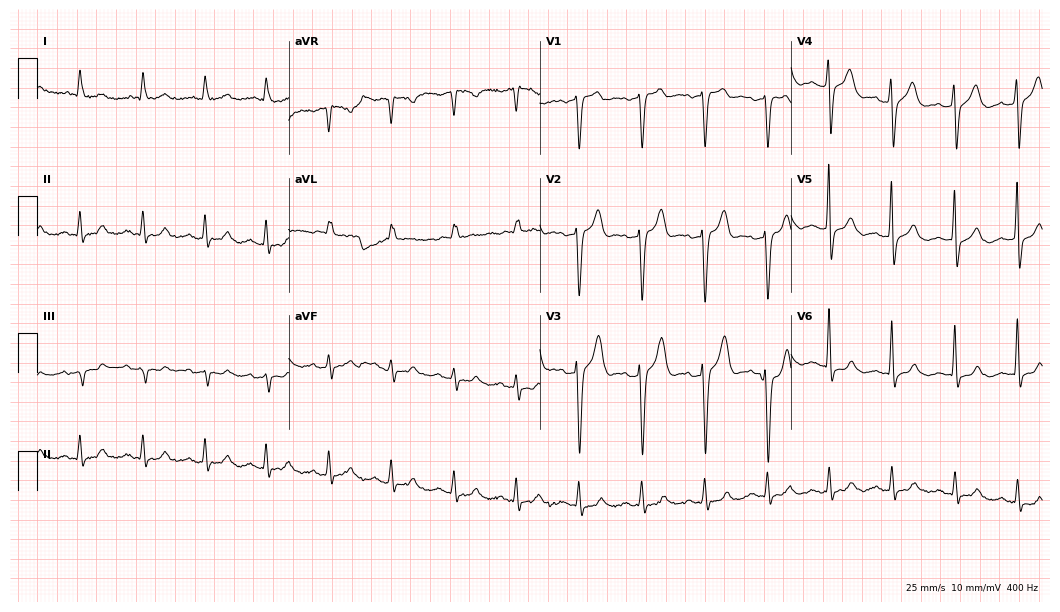
ECG — an 80-year-old male patient. Labelled as a normal ECG.